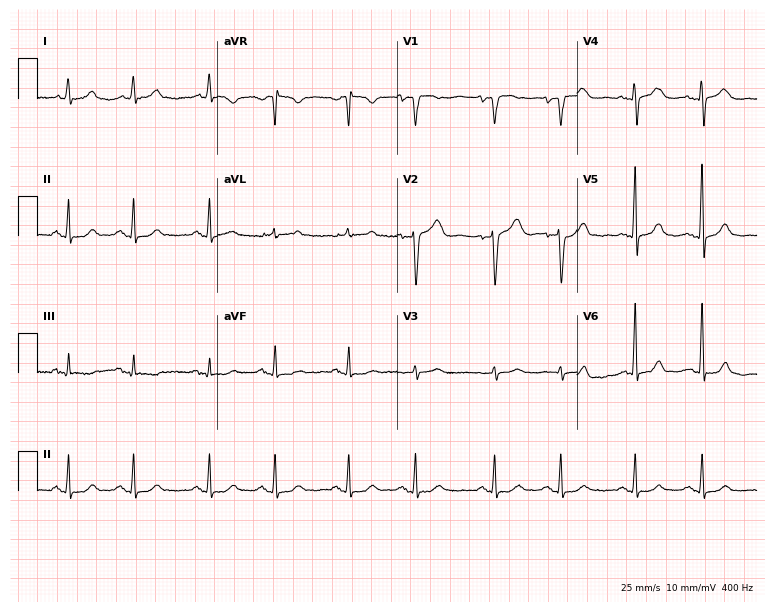
ECG — a 75-year-old woman. Screened for six findings — first-degree AV block, right bundle branch block, left bundle branch block, sinus bradycardia, atrial fibrillation, sinus tachycardia — none is recorded.